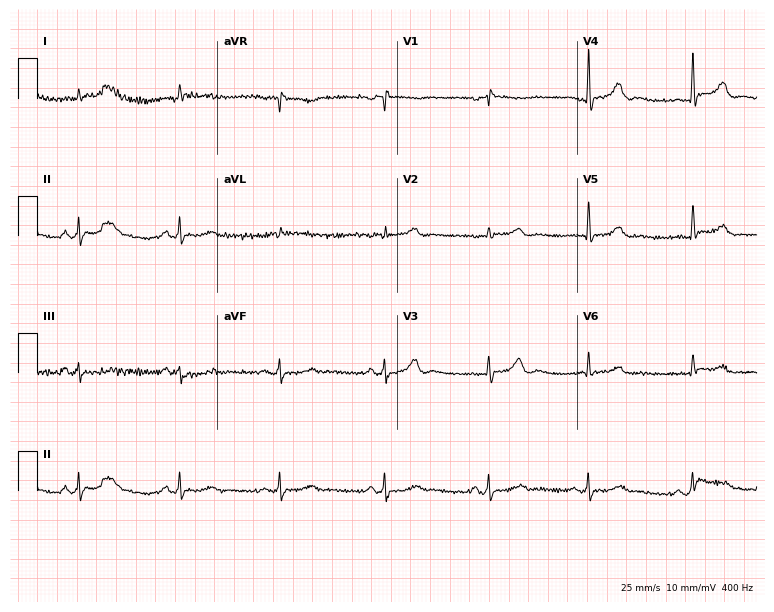
12-lead ECG from an 85-year-old man. Recorded interpretation: within normal limits.